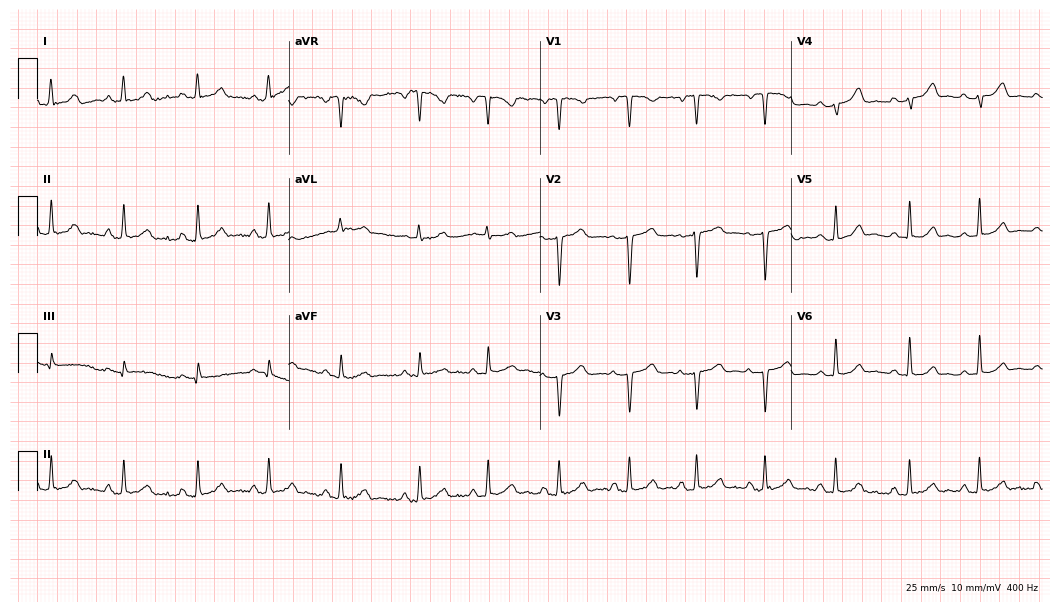
Electrocardiogram (10.2-second recording at 400 Hz), a 36-year-old woman. Of the six screened findings (first-degree AV block, right bundle branch block, left bundle branch block, sinus bradycardia, atrial fibrillation, sinus tachycardia), none is recorded. Findings outside these six are not listed.